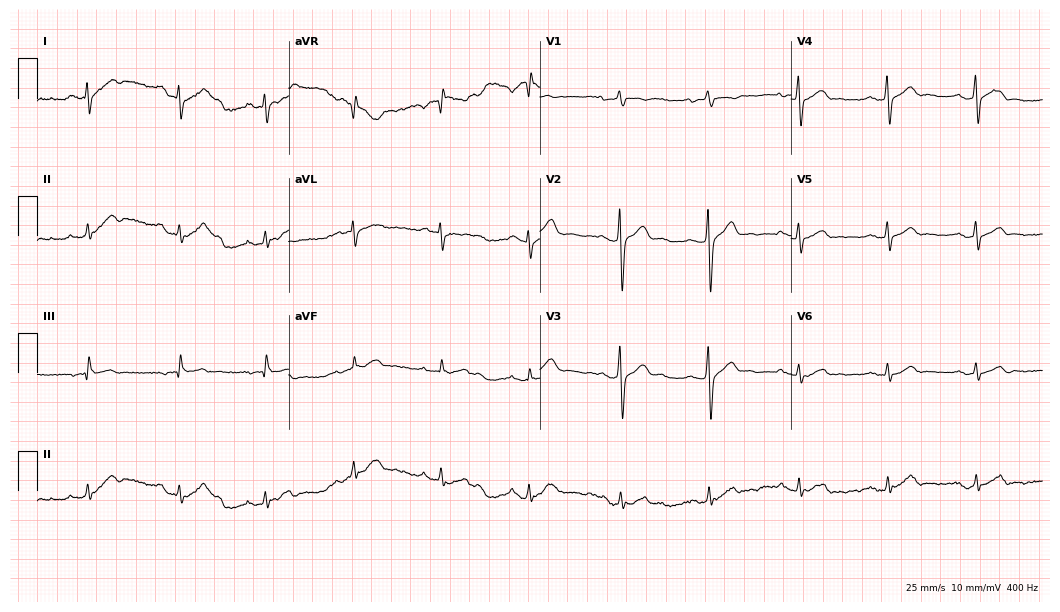
12-lead ECG (10.2-second recording at 400 Hz) from a man, 38 years old. Screened for six findings — first-degree AV block, right bundle branch block, left bundle branch block, sinus bradycardia, atrial fibrillation, sinus tachycardia — none is recorded. Only these six findings were labelled.